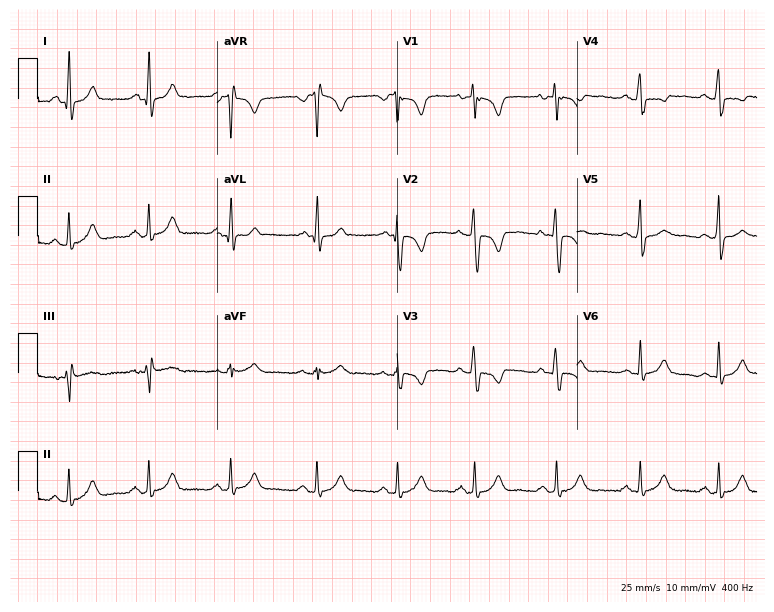
ECG — a 27-year-old female. Screened for six findings — first-degree AV block, right bundle branch block (RBBB), left bundle branch block (LBBB), sinus bradycardia, atrial fibrillation (AF), sinus tachycardia — none is recorded. Findings outside these six are not listed.